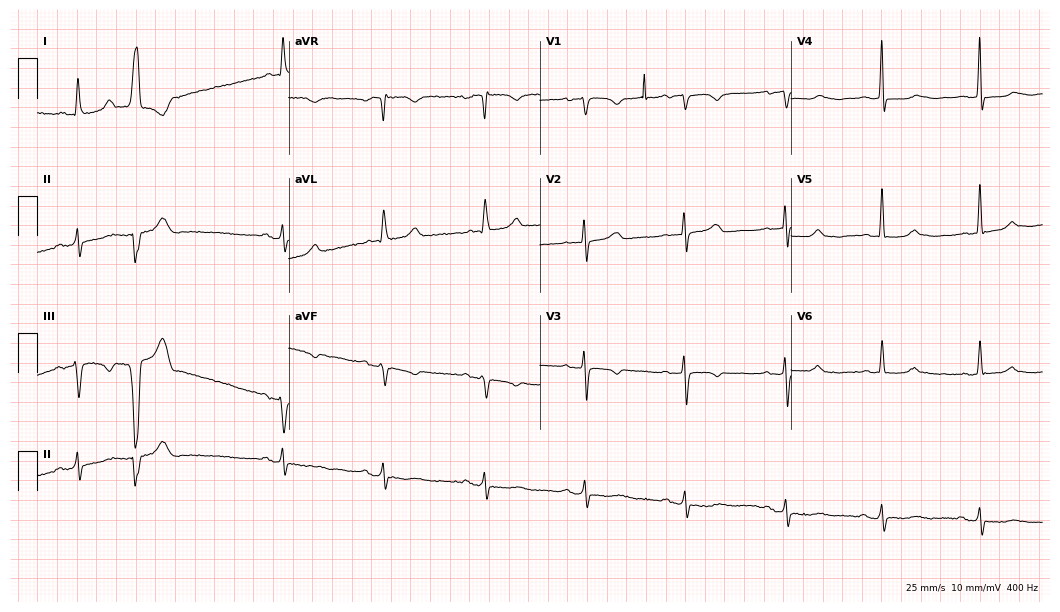
Resting 12-lead electrocardiogram. Patient: an 85-year-old woman. None of these six findings is recorded: first-degree AV block, right bundle branch block, left bundle branch block, sinus bradycardia, atrial fibrillation, sinus tachycardia.